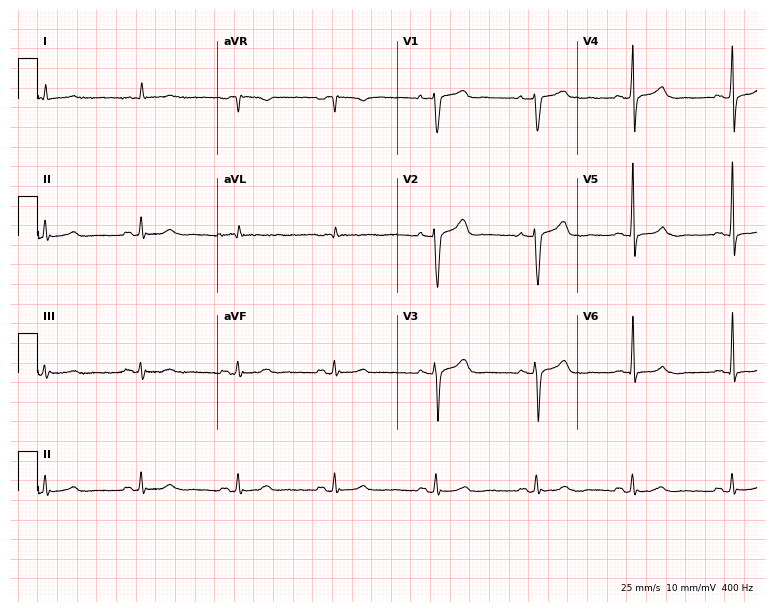
Resting 12-lead electrocardiogram. Patient: a man, 62 years old. Read as a normal ECG.